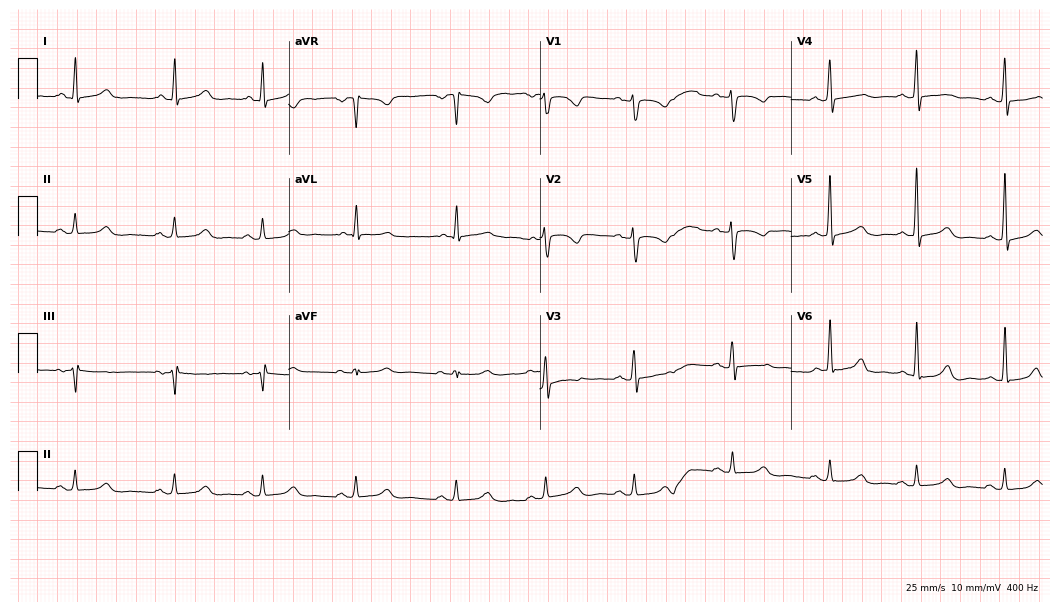
Resting 12-lead electrocardiogram. Patient: a female, 38 years old. Read as a normal ECG.